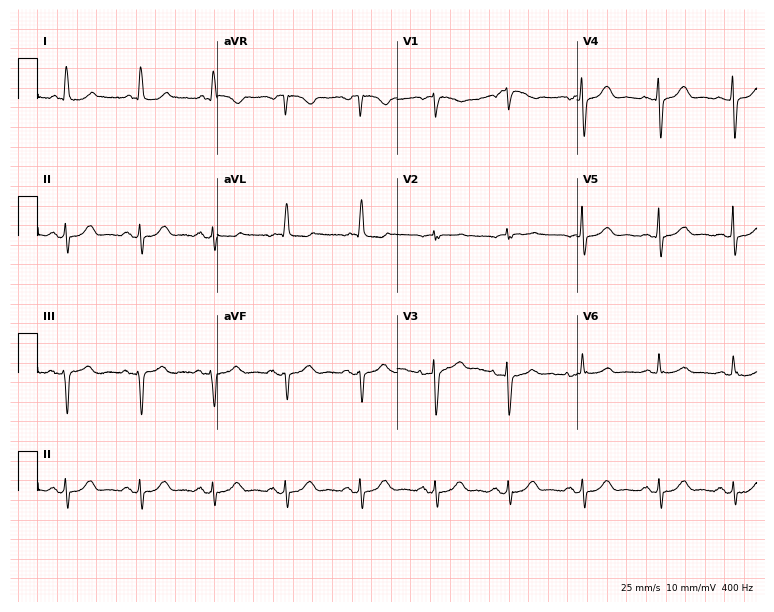
Resting 12-lead electrocardiogram. Patient: a 79-year-old female. None of these six findings is recorded: first-degree AV block, right bundle branch block, left bundle branch block, sinus bradycardia, atrial fibrillation, sinus tachycardia. Findings outside these six are not listed.